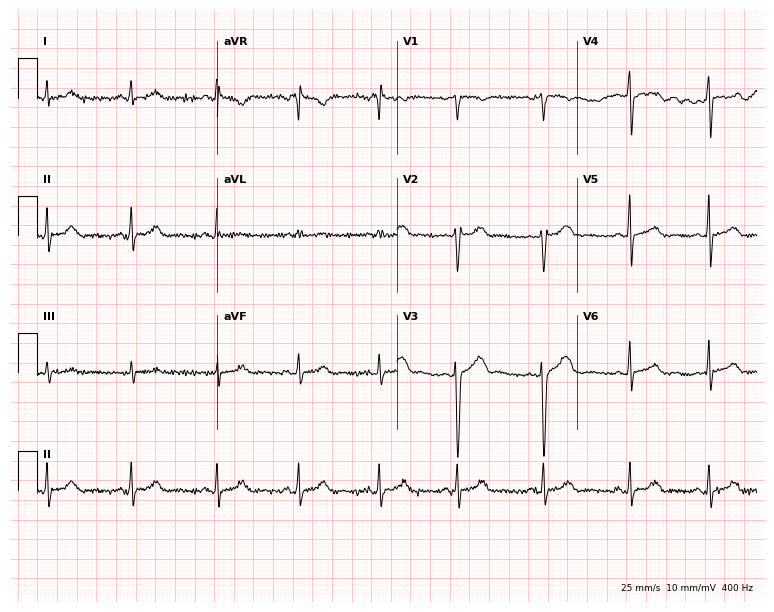
12-lead ECG from a female, 36 years old. Labelled as a normal ECG.